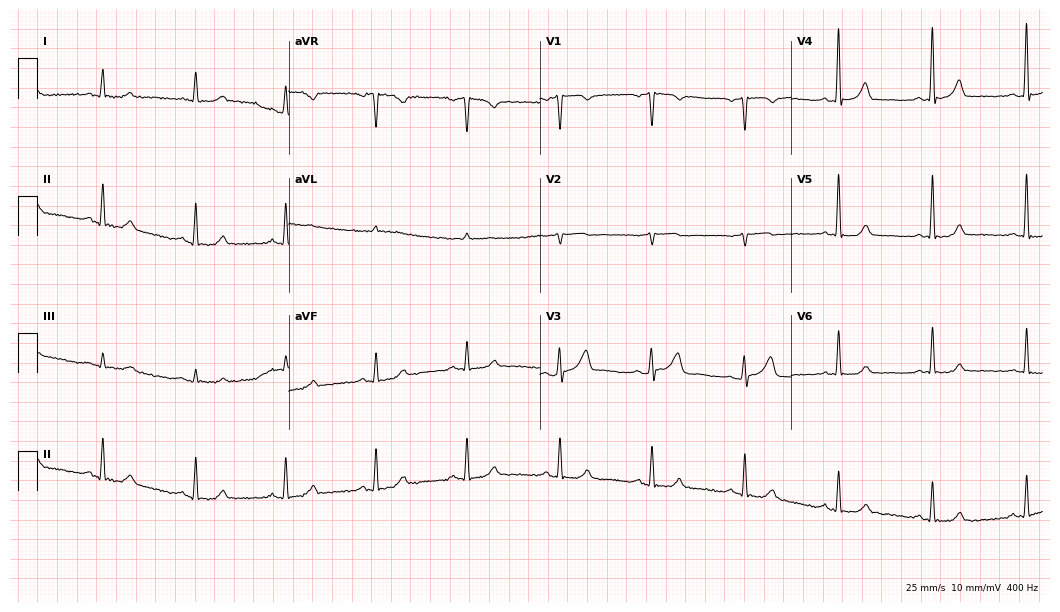
12-lead ECG (10.2-second recording at 400 Hz) from a 58-year-old male. Screened for six findings — first-degree AV block, right bundle branch block (RBBB), left bundle branch block (LBBB), sinus bradycardia, atrial fibrillation (AF), sinus tachycardia — none is recorded. Only these six findings were labelled.